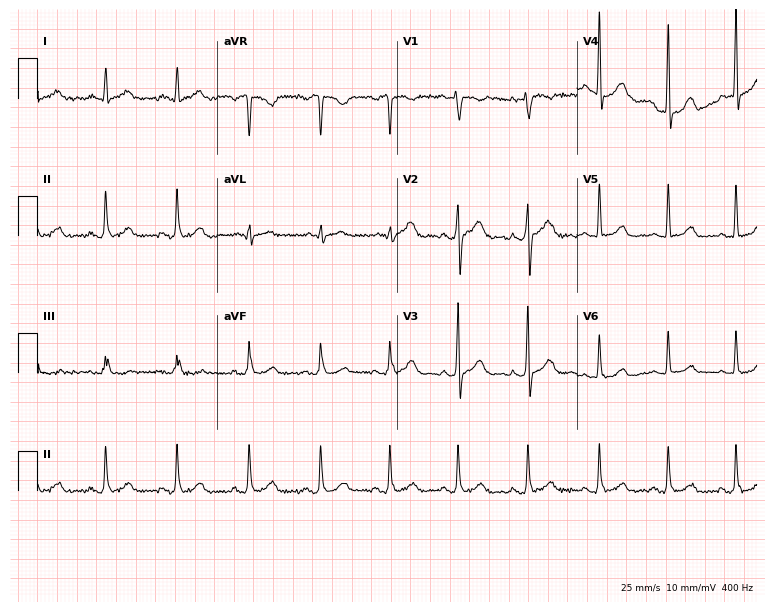
Standard 12-lead ECG recorded from a female patient, 22 years old (7.3-second recording at 400 Hz). None of these six findings is recorded: first-degree AV block, right bundle branch block (RBBB), left bundle branch block (LBBB), sinus bradycardia, atrial fibrillation (AF), sinus tachycardia.